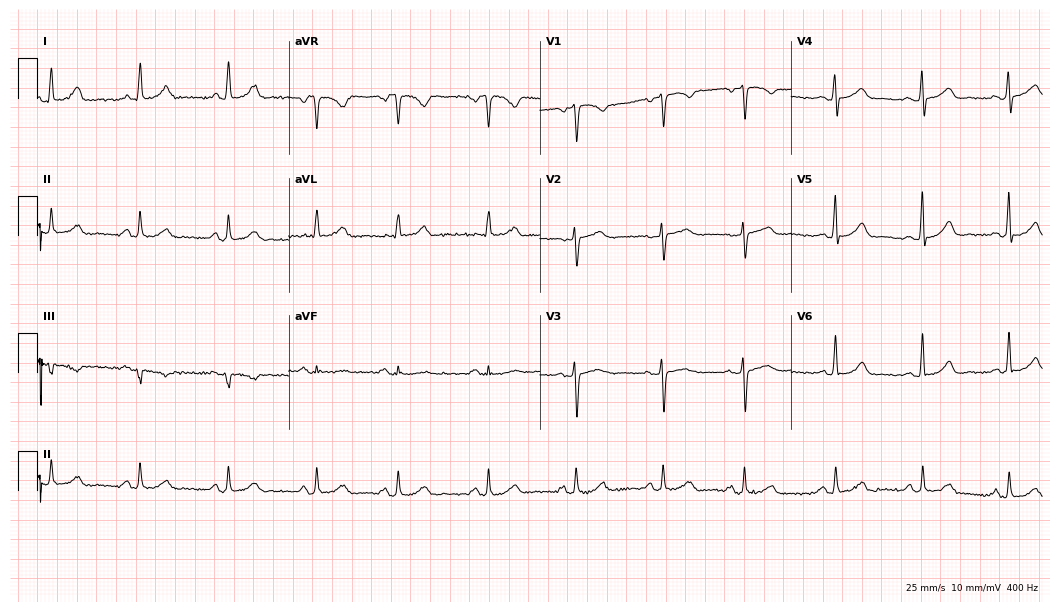
ECG — a woman, 51 years old. Labelled as a normal ECG.